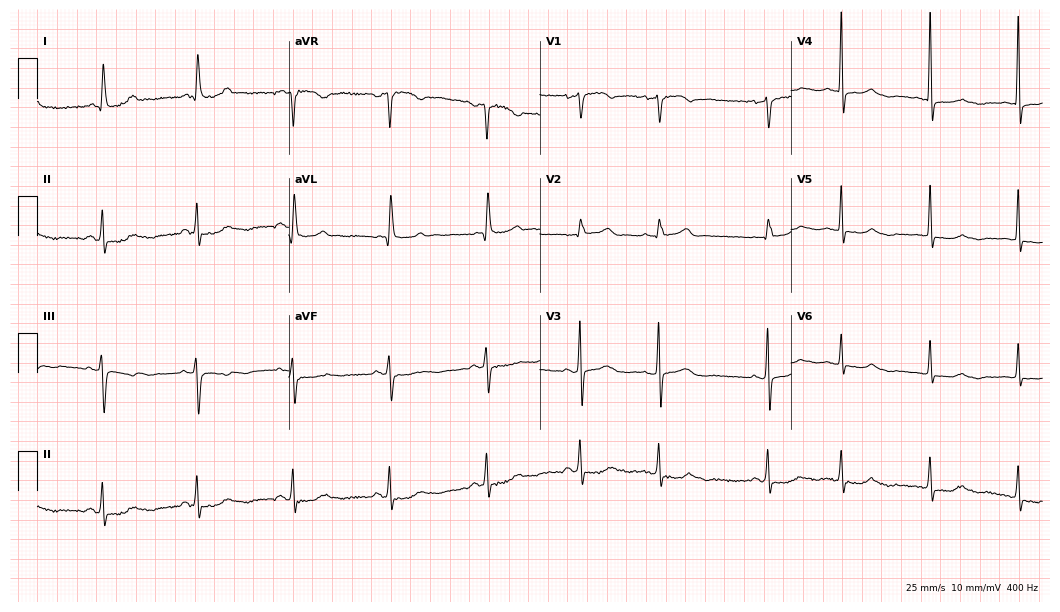
Standard 12-lead ECG recorded from a 75-year-old woman (10.2-second recording at 400 Hz). None of these six findings is recorded: first-degree AV block, right bundle branch block, left bundle branch block, sinus bradycardia, atrial fibrillation, sinus tachycardia. Other findings, if any, are not listed.